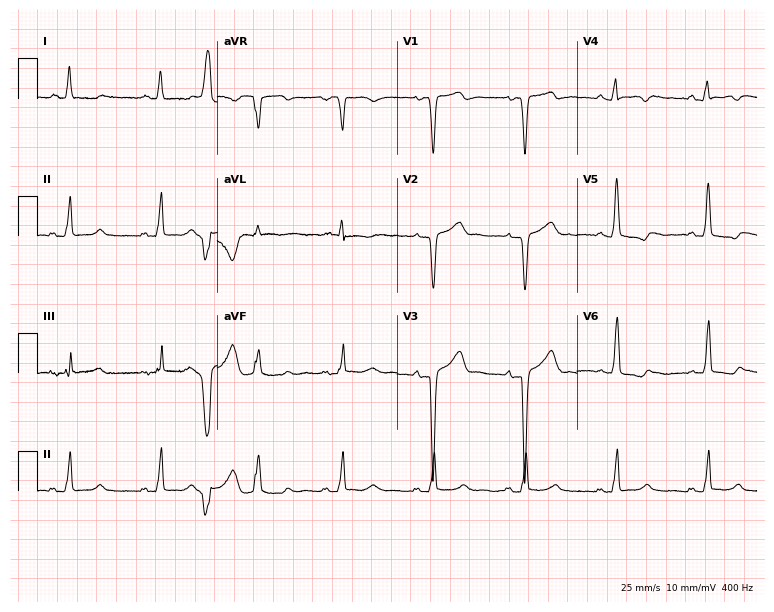
Resting 12-lead electrocardiogram. Patient: a 55-year-old woman. None of these six findings is recorded: first-degree AV block, right bundle branch block, left bundle branch block, sinus bradycardia, atrial fibrillation, sinus tachycardia.